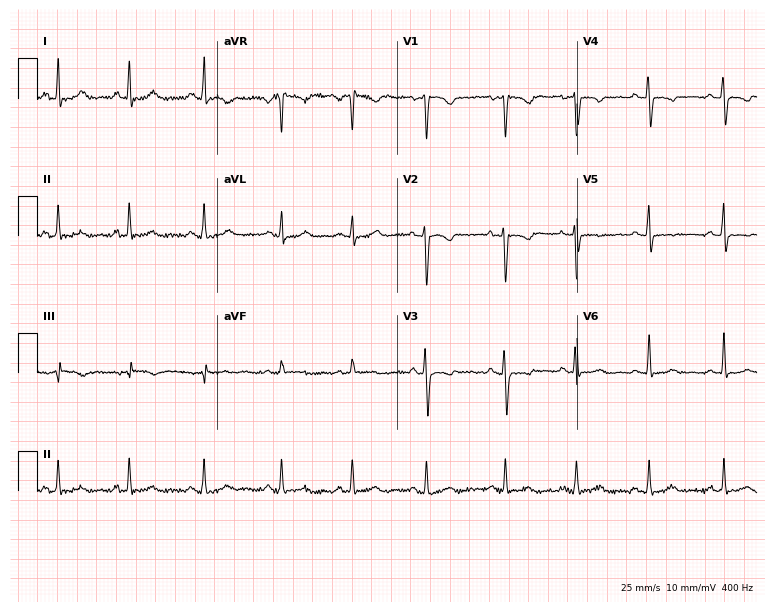
Standard 12-lead ECG recorded from a female patient, 24 years old. None of these six findings is recorded: first-degree AV block, right bundle branch block (RBBB), left bundle branch block (LBBB), sinus bradycardia, atrial fibrillation (AF), sinus tachycardia.